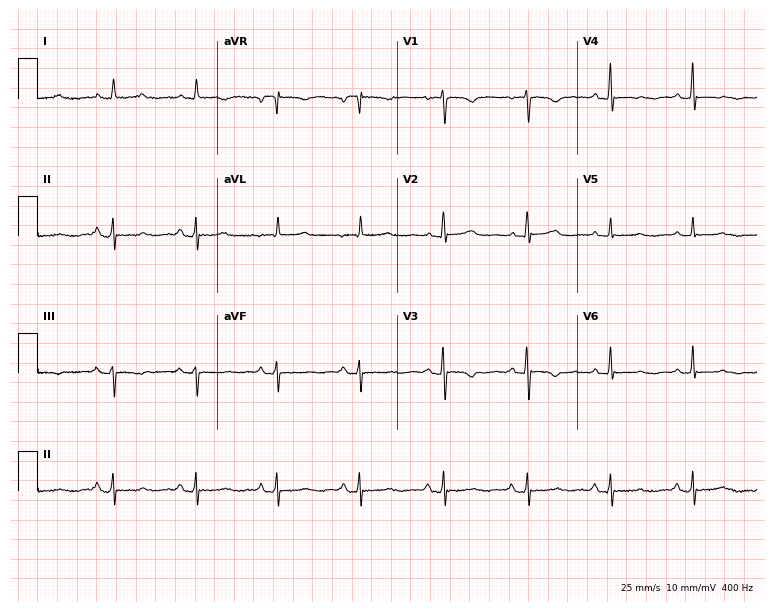
ECG (7.3-second recording at 400 Hz) — a female patient, 56 years old. Screened for six findings — first-degree AV block, right bundle branch block, left bundle branch block, sinus bradycardia, atrial fibrillation, sinus tachycardia — none is recorded. Only these six findings were labelled.